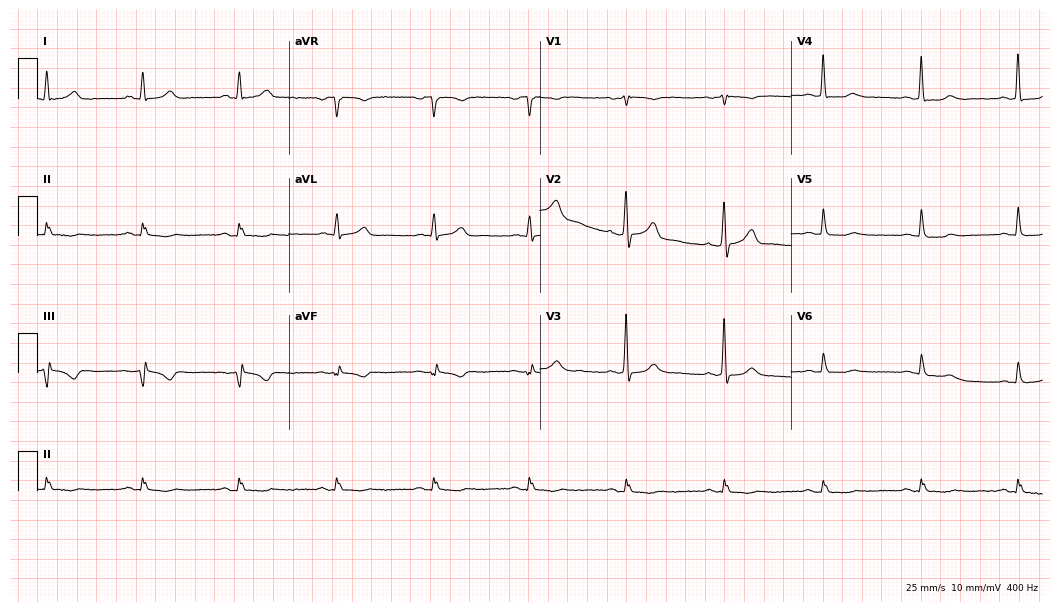
Resting 12-lead electrocardiogram. Patient: a 56-year-old male. None of these six findings is recorded: first-degree AV block, right bundle branch block, left bundle branch block, sinus bradycardia, atrial fibrillation, sinus tachycardia.